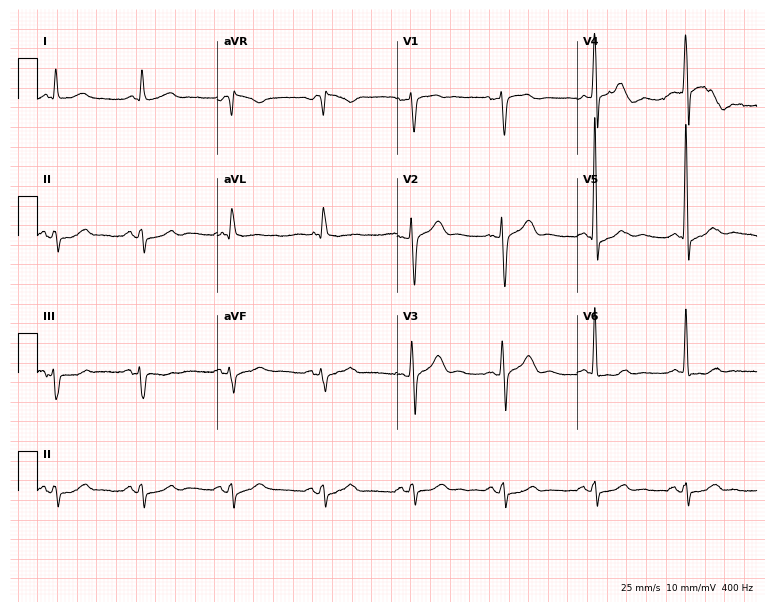
ECG (7.3-second recording at 400 Hz) — a 62-year-old male. Screened for six findings — first-degree AV block, right bundle branch block, left bundle branch block, sinus bradycardia, atrial fibrillation, sinus tachycardia — none is recorded. Other findings, if any, are not listed.